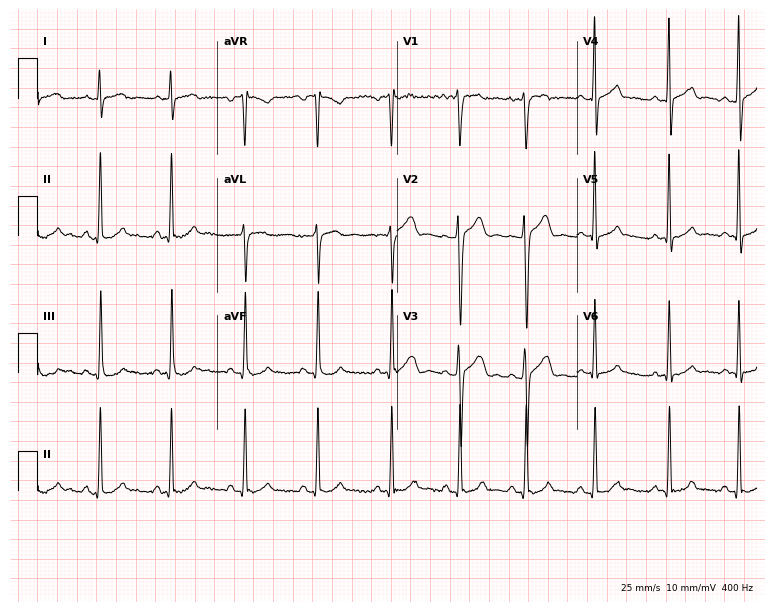
Electrocardiogram, a male patient, 30 years old. Overall reading on record: normal ECG.